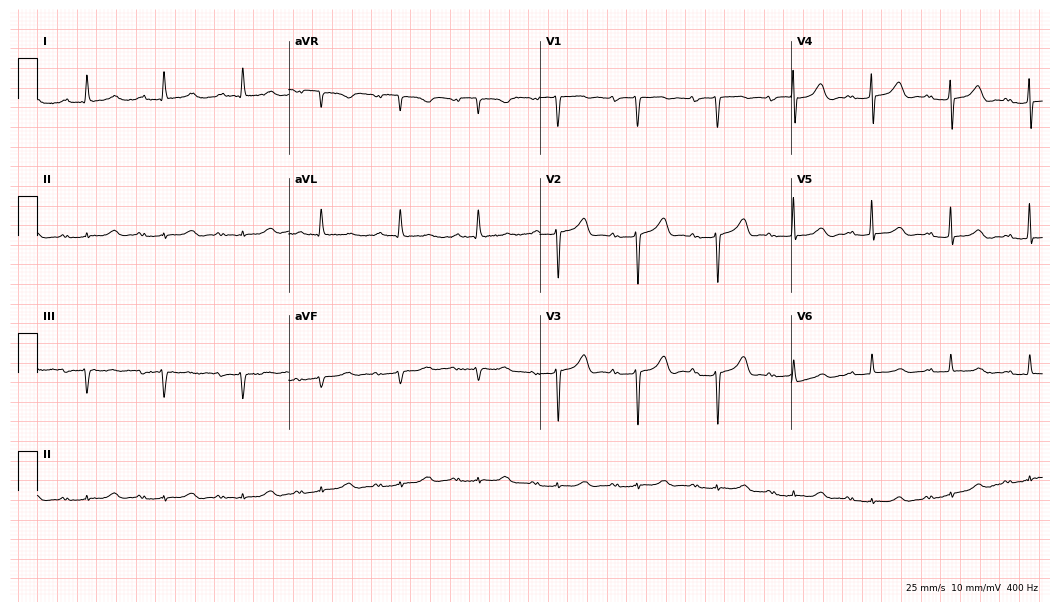
ECG — a woman, 83 years old. Findings include first-degree AV block.